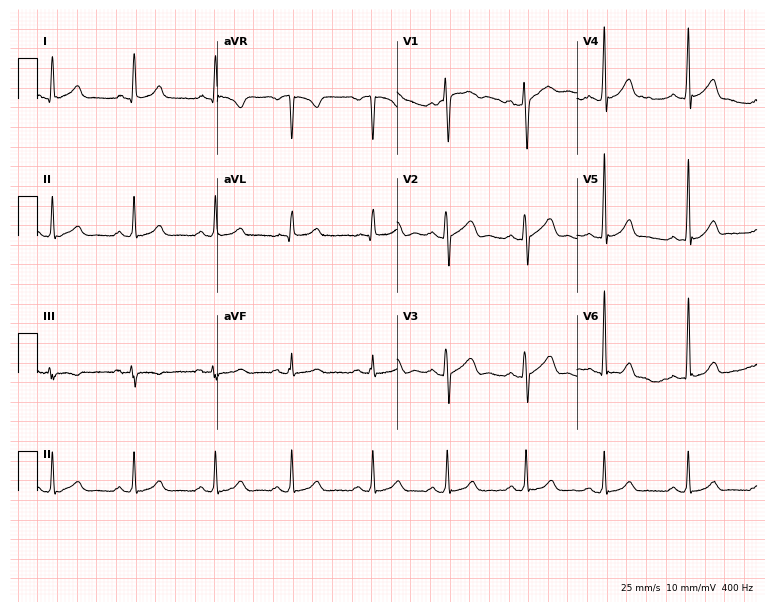
Electrocardiogram (7.3-second recording at 400 Hz), a male, 42 years old. Overall reading on record: normal ECG.